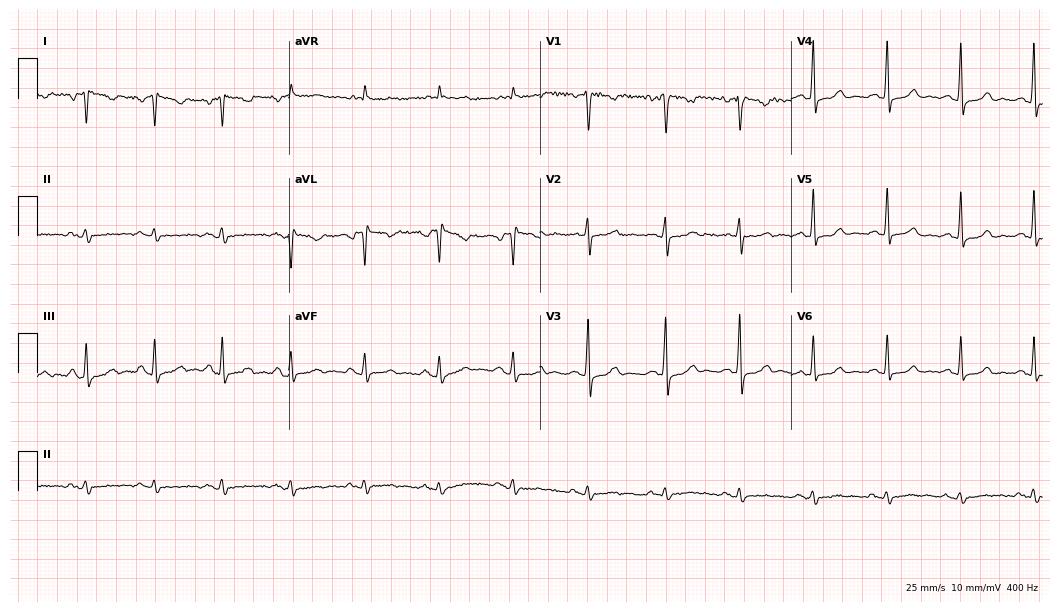
ECG — a female patient, 35 years old. Screened for six findings — first-degree AV block, right bundle branch block (RBBB), left bundle branch block (LBBB), sinus bradycardia, atrial fibrillation (AF), sinus tachycardia — none is recorded.